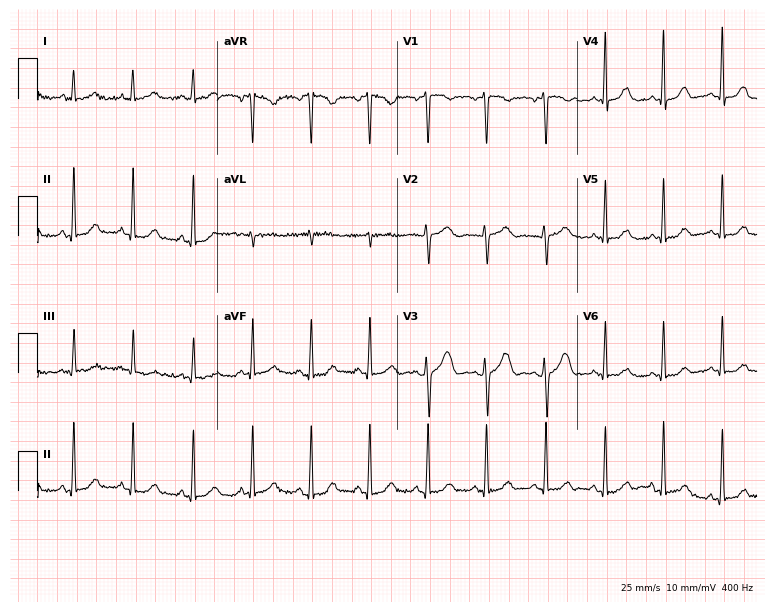
Resting 12-lead electrocardiogram (7.3-second recording at 400 Hz). Patient: a 36-year-old female. Read as a normal ECG.